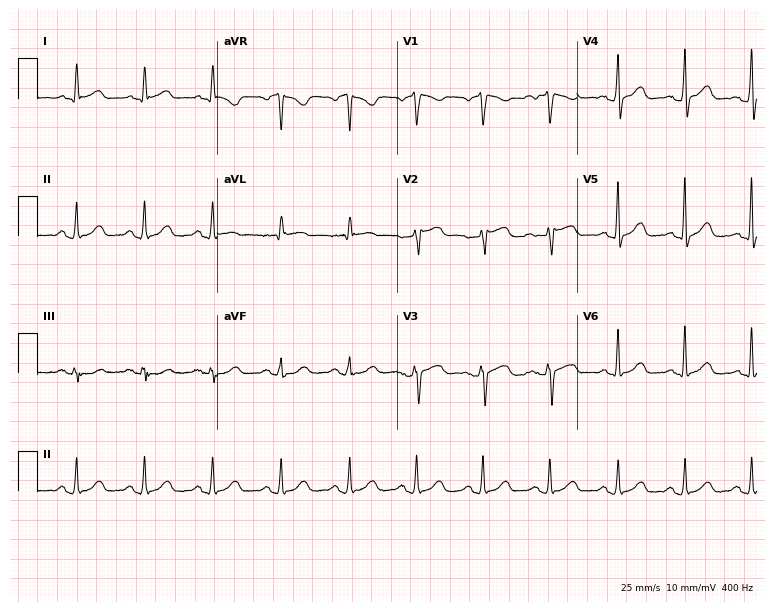
Resting 12-lead electrocardiogram. Patient: a 50-year-old female. Read as a normal ECG.